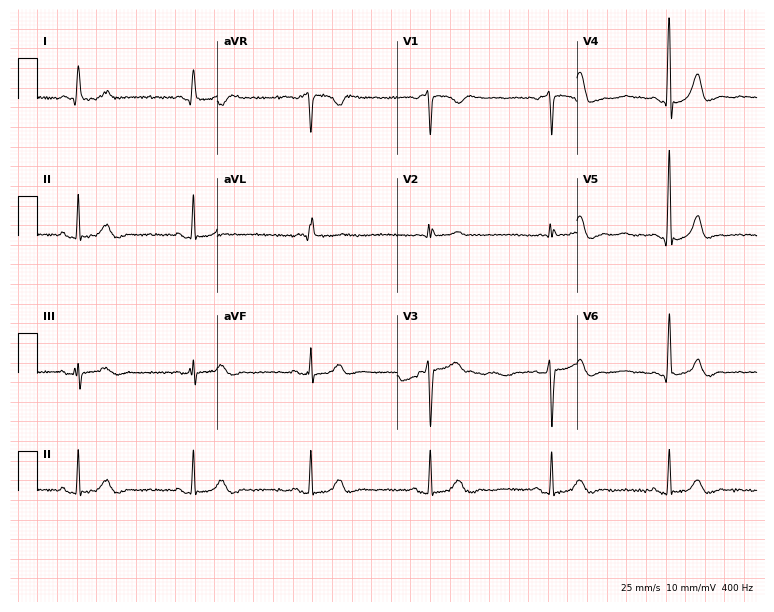
12-lead ECG from a 49-year-old male. Labelled as a normal ECG.